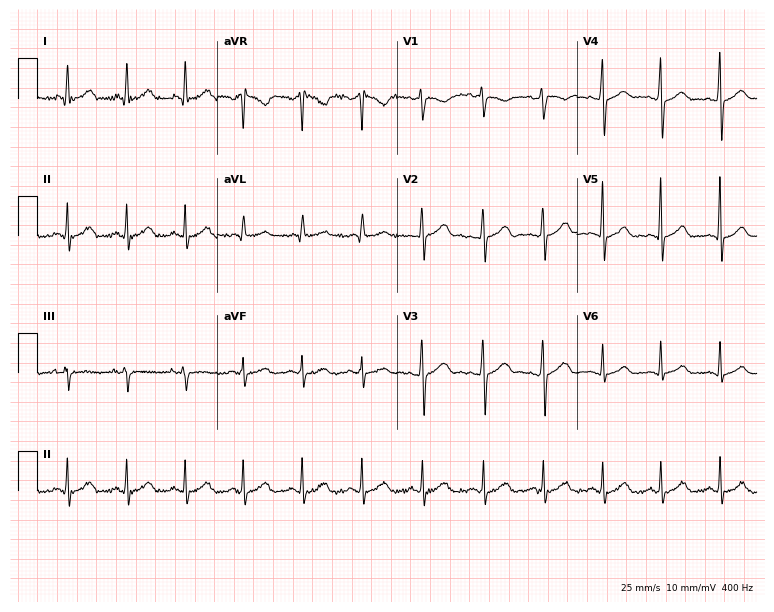
ECG (7.3-second recording at 400 Hz) — a 44-year-old woman. Labelled as a normal ECG.